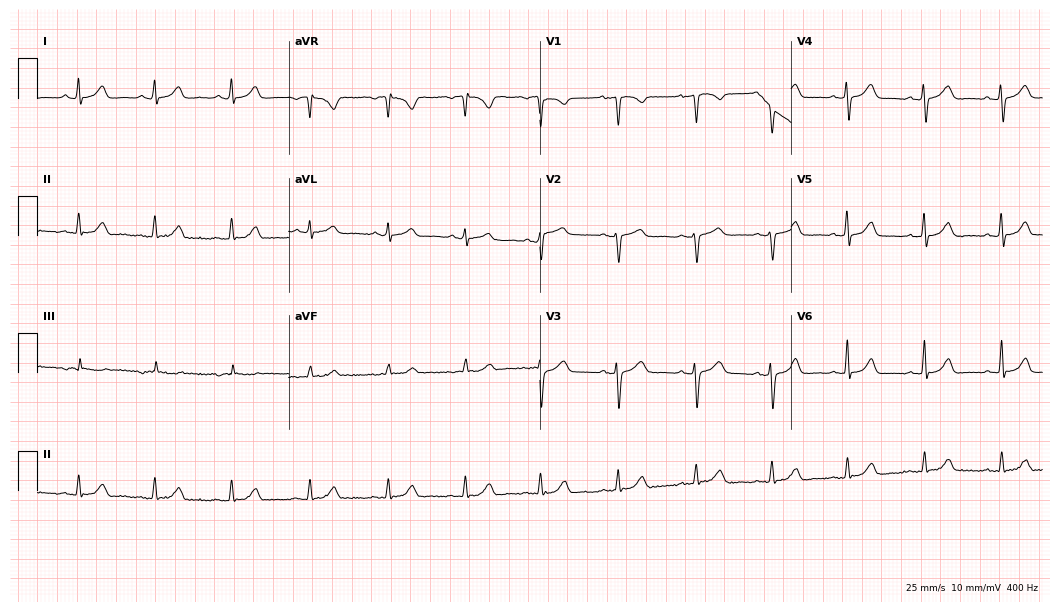
Standard 12-lead ECG recorded from an 85-year-old female. None of these six findings is recorded: first-degree AV block, right bundle branch block, left bundle branch block, sinus bradycardia, atrial fibrillation, sinus tachycardia.